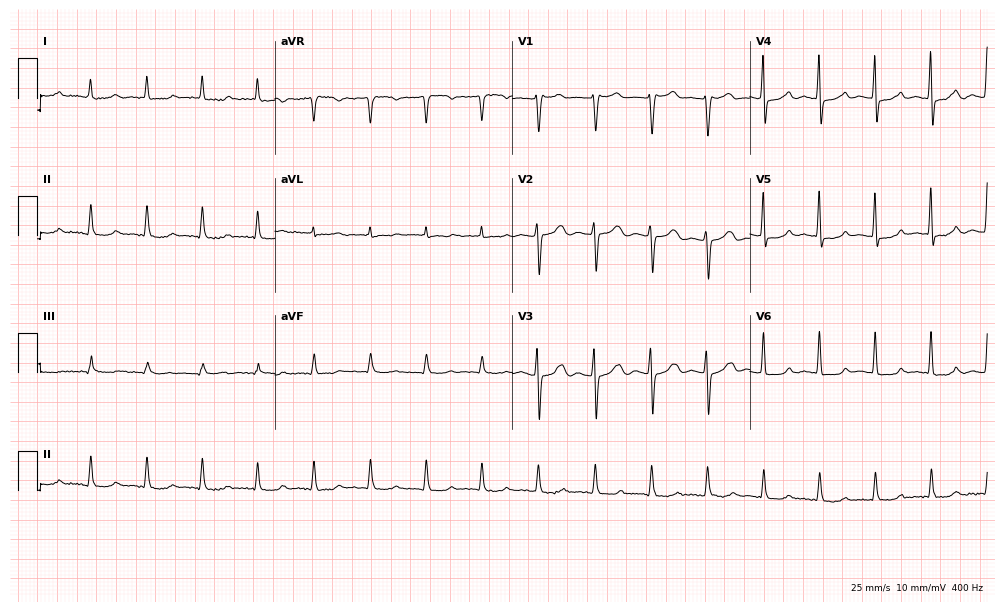
12-lead ECG from a female, 83 years old (9.7-second recording at 400 Hz). No first-degree AV block, right bundle branch block, left bundle branch block, sinus bradycardia, atrial fibrillation or sinus tachycardia recorded for this tracing. Findings outside these six are not listed.